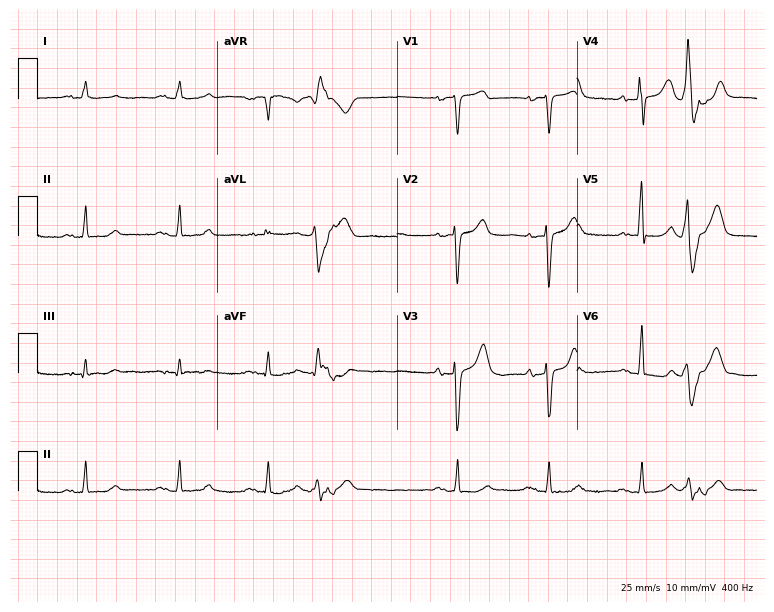
Resting 12-lead electrocardiogram. Patient: a male, 77 years old. None of these six findings is recorded: first-degree AV block, right bundle branch block, left bundle branch block, sinus bradycardia, atrial fibrillation, sinus tachycardia.